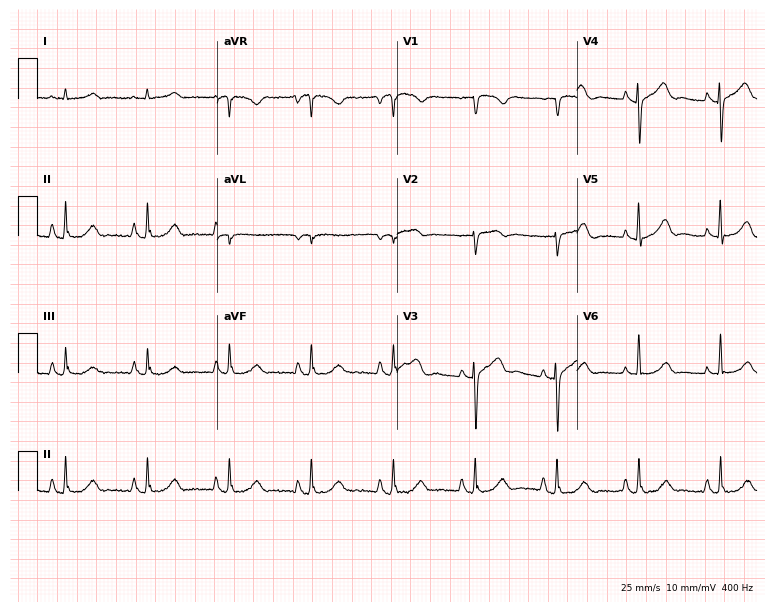
12-lead ECG from a 52-year-old male patient. Labelled as a normal ECG.